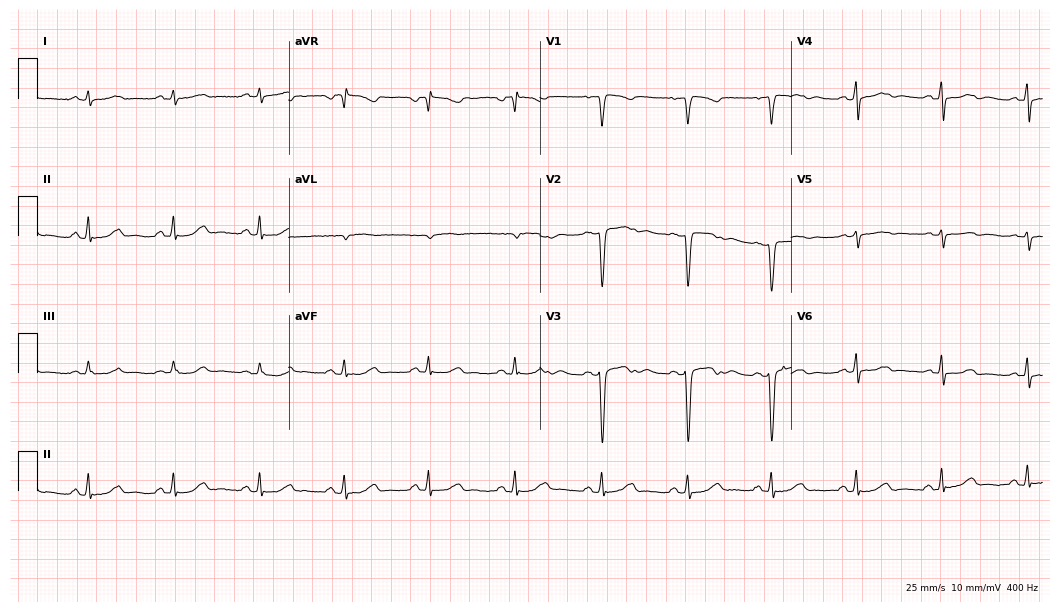
12-lead ECG (10.2-second recording at 400 Hz) from a female patient, 52 years old. Screened for six findings — first-degree AV block, right bundle branch block, left bundle branch block, sinus bradycardia, atrial fibrillation, sinus tachycardia — none is recorded. Findings outside these six are not listed.